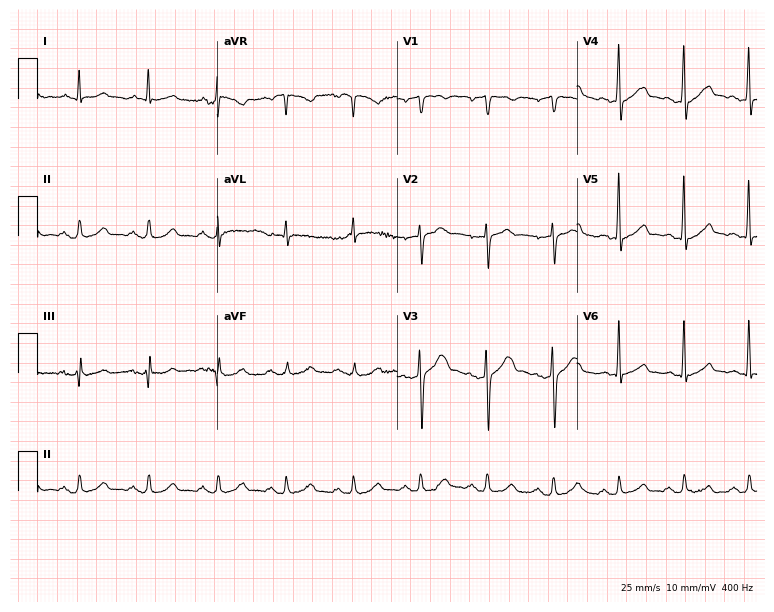
Standard 12-lead ECG recorded from a man, 52 years old (7.3-second recording at 400 Hz). Read as a normal ECG.